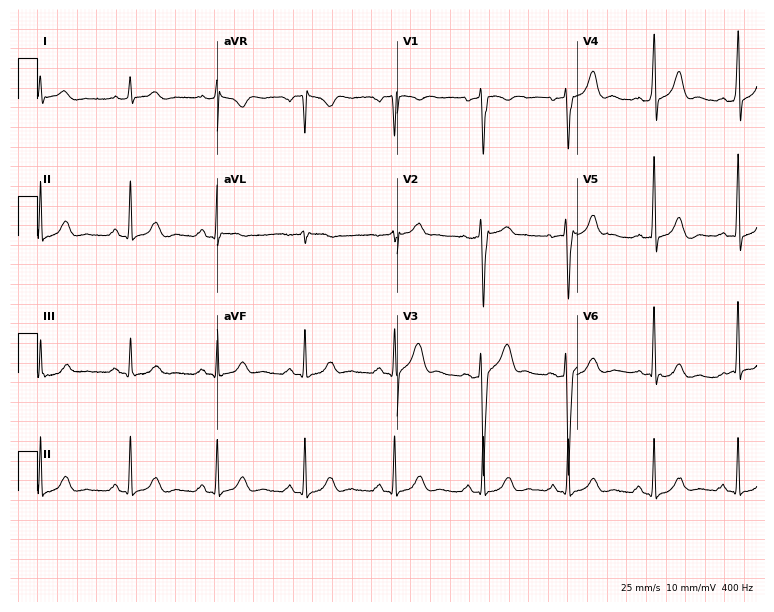
12-lead ECG from a male patient, 44 years old (7.3-second recording at 400 Hz). No first-degree AV block, right bundle branch block, left bundle branch block, sinus bradycardia, atrial fibrillation or sinus tachycardia recorded for this tracing.